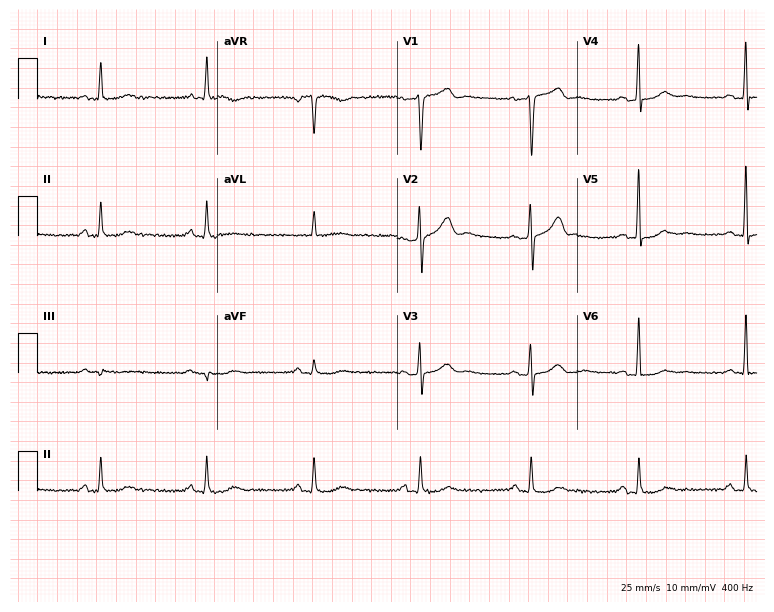
12-lead ECG from a man, 71 years old (7.3-second recording at 400 Hz). No first-degree AV block, right bundle branch block, left bundle branch block, sinus bradycardia, atrial fibrillation or sinus tachycardia recorded for this tracing.